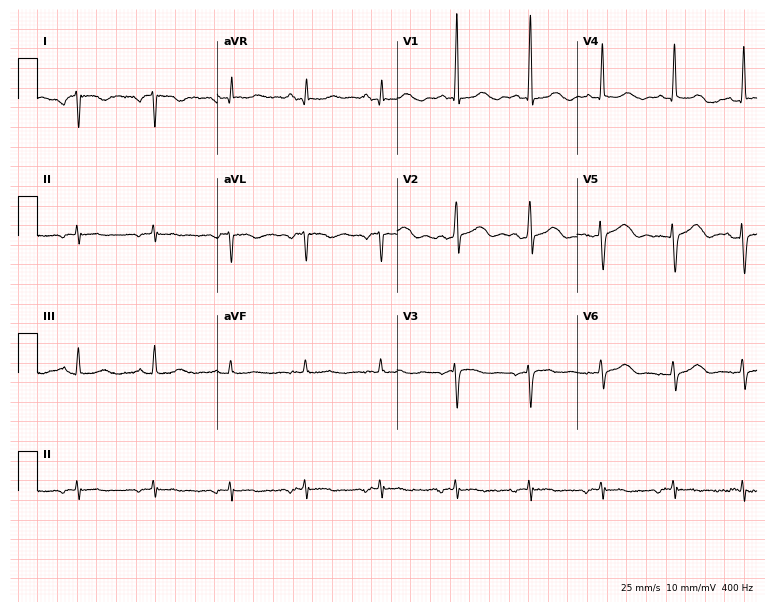
Electrocardiogram, a 72-year-old woman. Of the six screened findings (first-degree AV block, right bundle branch block (RBBB), left bundle branch block (LBBB), sinus bradycardia, atrial fibrillation (AF), sinus tachycardia), none is recorded. Other findings, if any, are not listed.